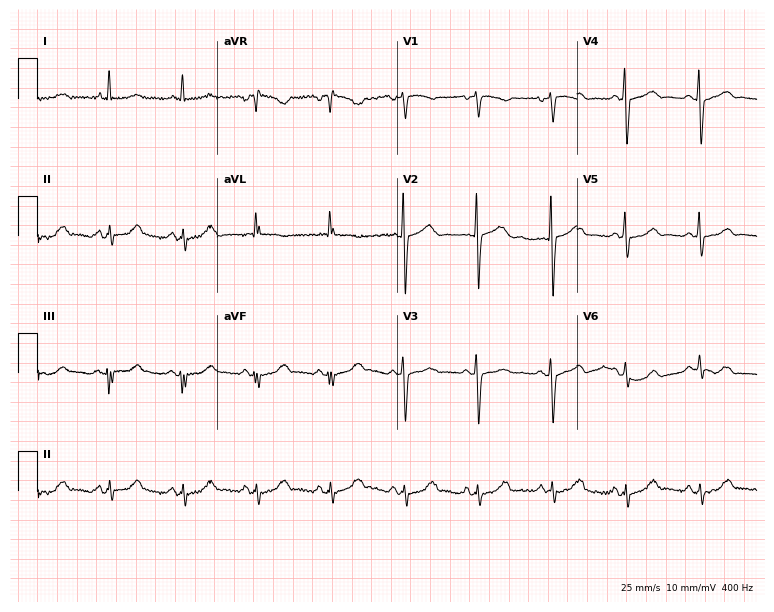
Resting 12-lead electrocardiogram (7.3-second recording at 400 Hz). Patient: a woman, 69 years old. Read as a normal ECG.